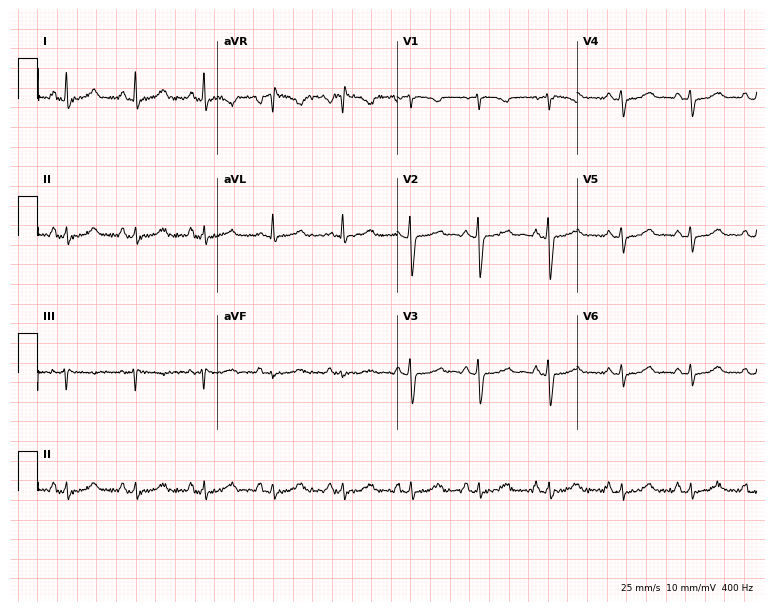
ECG (7.3-second recording at 400 Hz) — a 43-year-old woman. Labelled as a normal ECG.